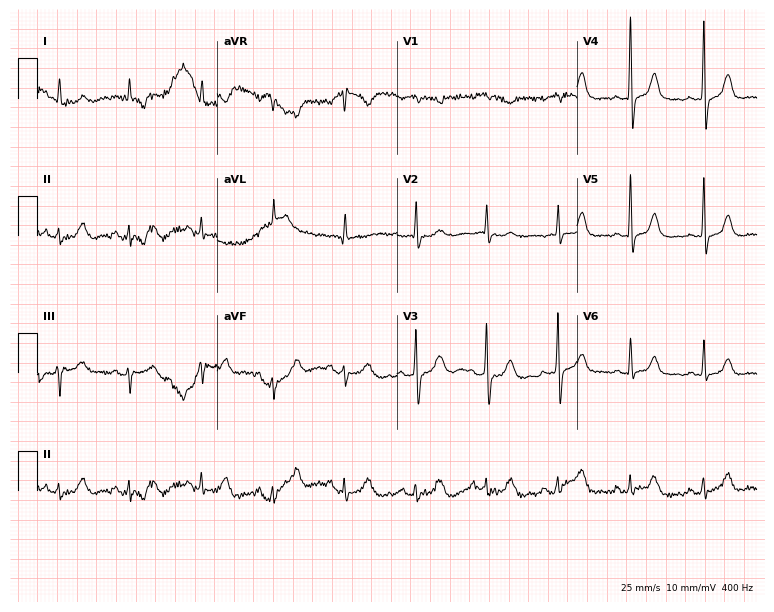
12-lead ECG from a 76-year-old female. Labelled as a normal ECG.